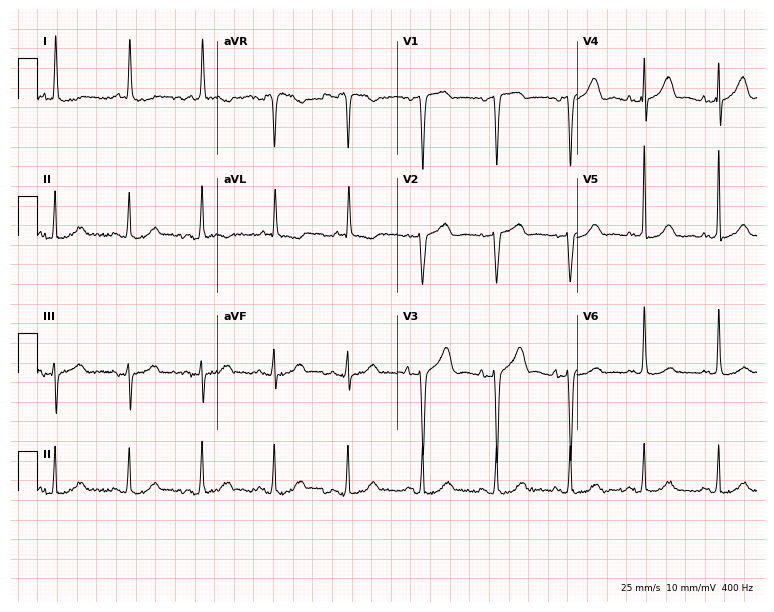
Electrocardiogram, a female patient, 69 years old. Of the six screened findings (first-degree AV block, right bundle branch block (RBBB), left bundle branch block (LBBB), sinus bradycardia, atrial fibrillation (AF), sinus tachycardia), none is recorded. Other findings, if any, are not listed.